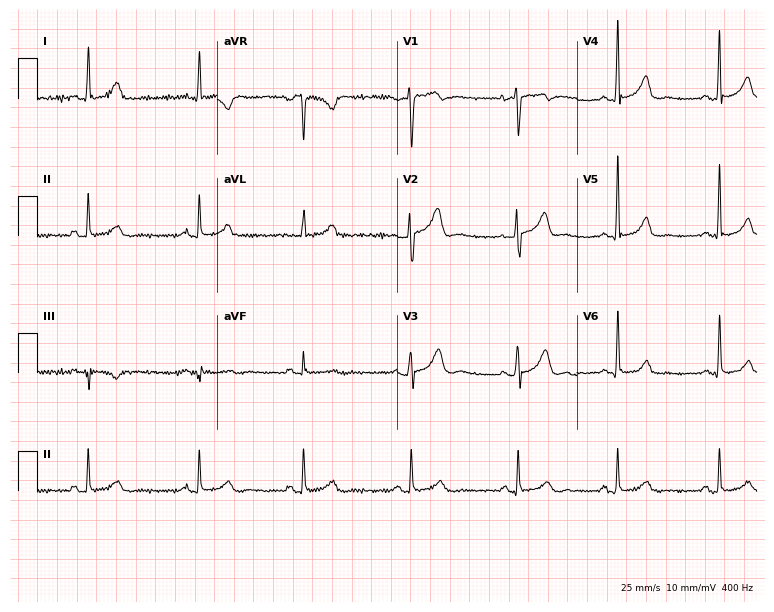
Standard 12-lead ECG recorded from a female, 42 years old (7.3-second recording at 400 Hz). None of these six findings is recorded: first-degree AV block, right bundle branch block (RBBB), left bundle branch block (LBBB), sinus bradycardia, atrial fibrillation (AF), sinus tachycardia. Only these six findings were labelled.